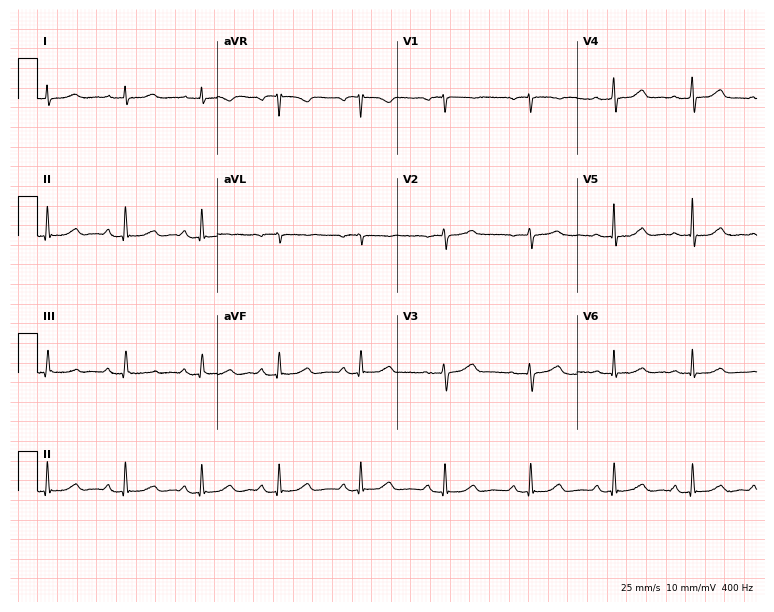
12-lead ECG from a 39-year-old woman. Labelled as a normal ECG.